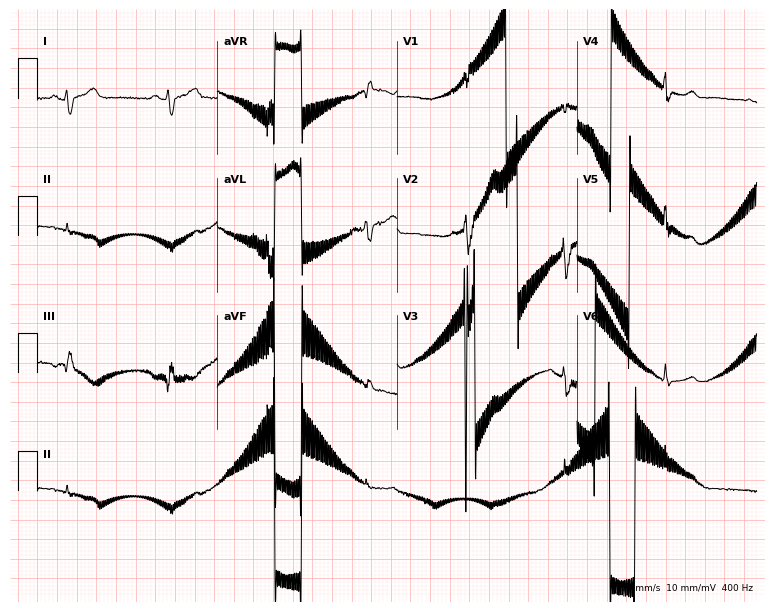
ECG — a 42-year-old male patient. Screened for six findings — first-degree AV block, right bundle branch block (RBBB), left bundle branch block (LBBB), sinus bradycardia, atrial fibrillation (AF), sinus tachycardia — none is recorded.